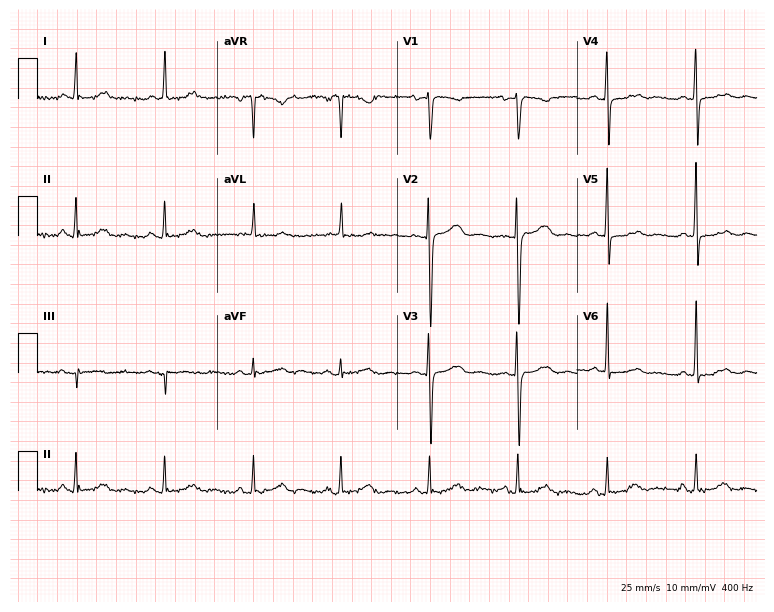
Standard 12-lead ECG recorded from a female patient, 69 years old (7.3-second recording at 400 Hz). None of these six findings is recorded: first-degree AV block, right bundle branch block, left bundle branch block, sinus bradycardia, atrial fibrillation, sinus tachycardia. Findings outside these six are not listed.